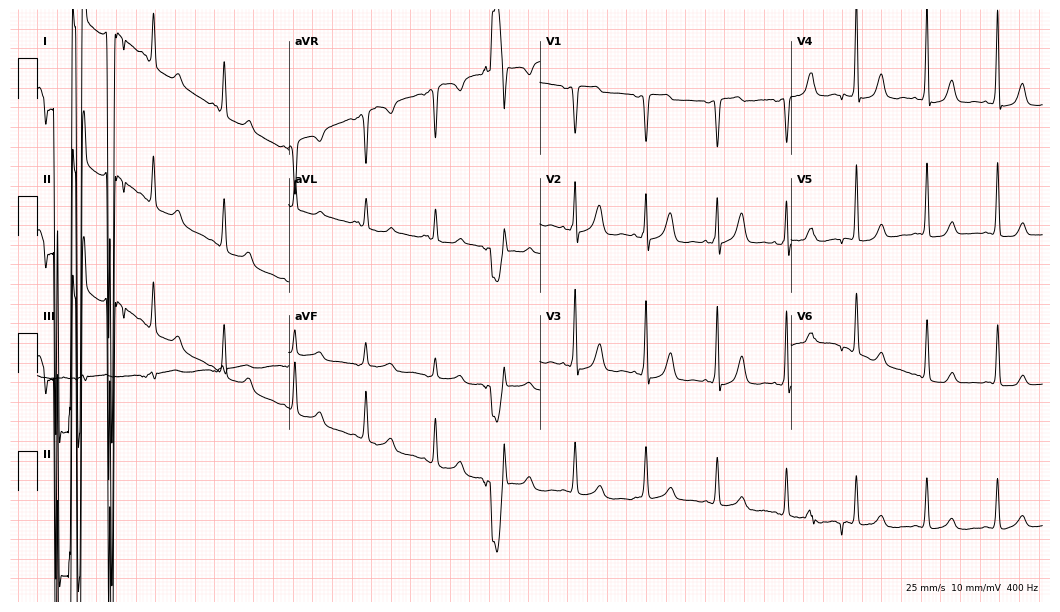
12-lead ECG (10.2-second recording at 400 Hz) from a 76-year-old female. Screened for six findings — first-degree AV block, right bundle branch block, left bundle branch block, sinus bradycardia, atrial fibrillation, sinus tachycardia — none is recorded. Other findings, if any, are not listed.